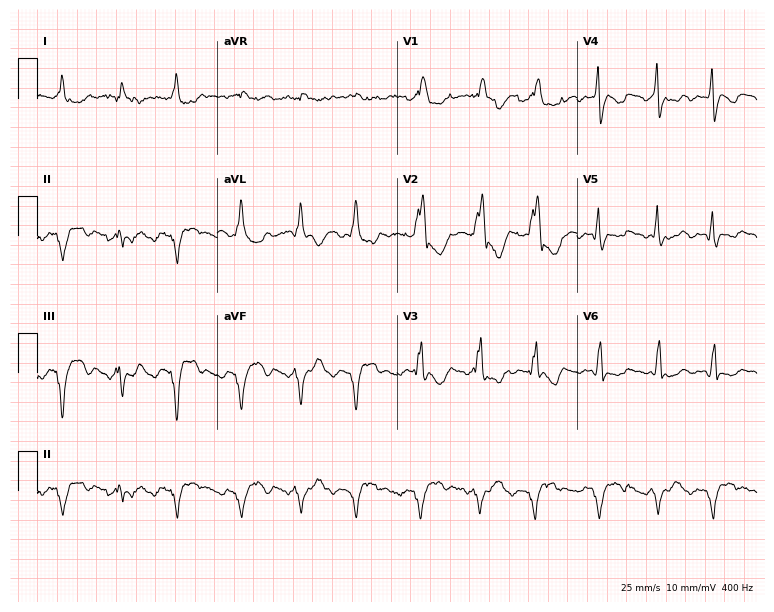
Resting 12-lead electrocardiogram. Patient: a male, 29 years old. None of these six findings is recorded: first-degree AV block, right bundle branch block (RBBB), left bundle branch block (LBBB), sinus bradycardia, atrial fibrillation (AF), sinus tachycardia. Only these six findings were labelled.